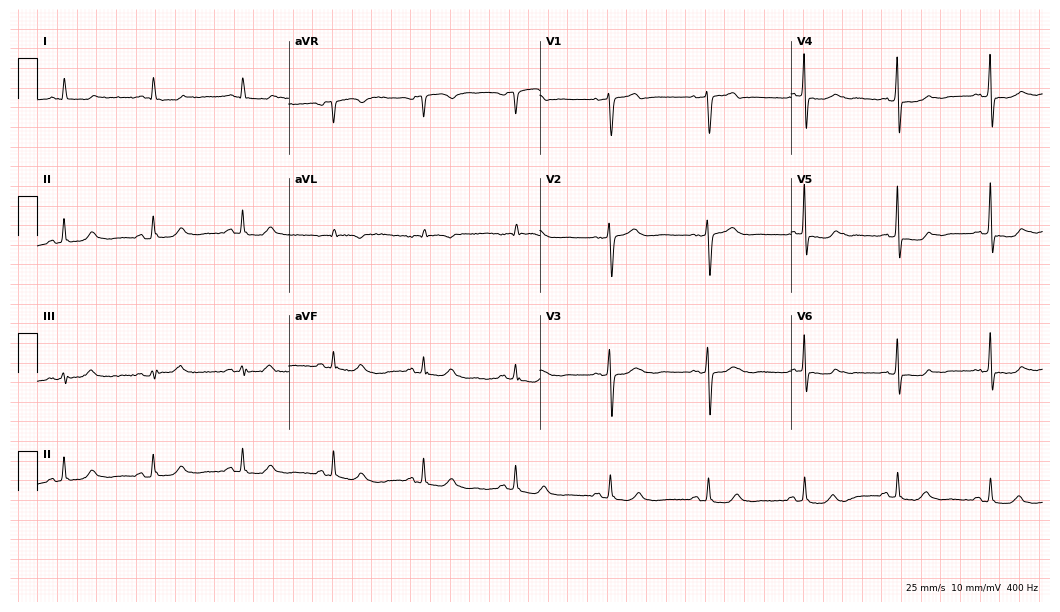
ECG — a male, 70 years old. Screened for six findings — first-degree AV block, right bundle branch block, left bundle branch block, sinus bradycardia, atrial fibrillation, sinus tachycardia — none is recorded.